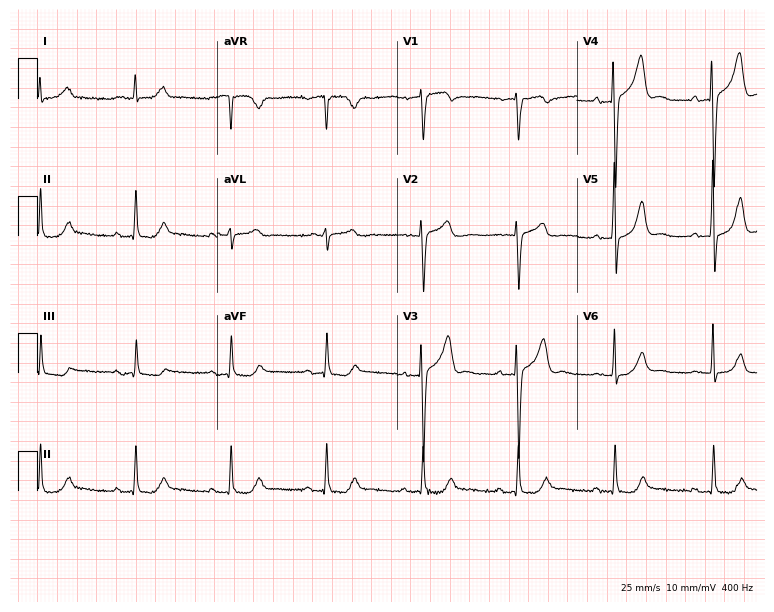
Electrocardiogram (7.3-second recording at 400 Hz), a male, 77 years old. Overall reading on record: normal ECG.